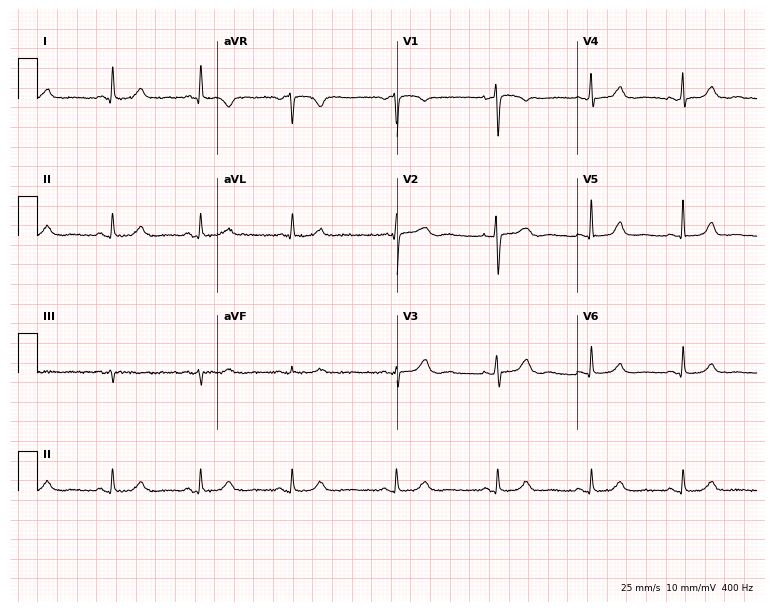
12-lead ECG (7.3-second recording at 400 Hz) from a 53-year-old woman. Labelled as a normal ECG.